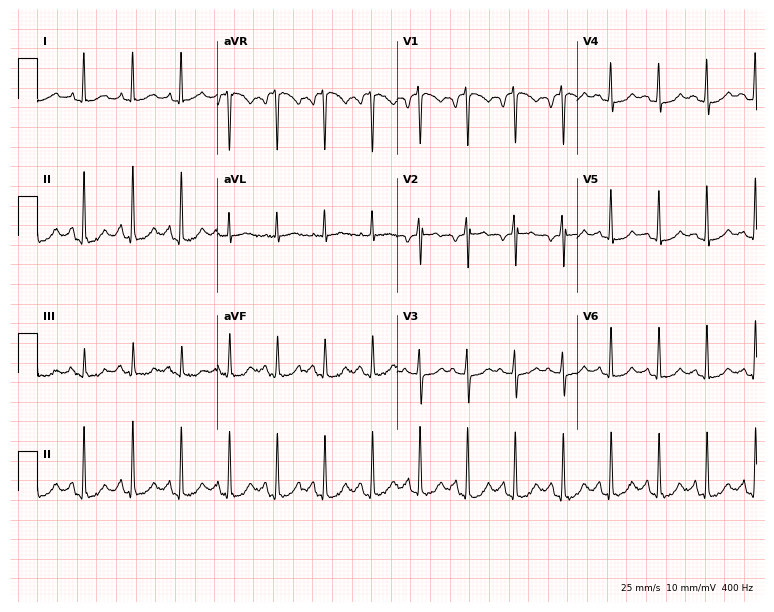
ECG (7.3-second recording at 400 Hz) — a female, 44 years old. Findings include sinus tachycardia (a sinus rate of 100 beats per minute or more).